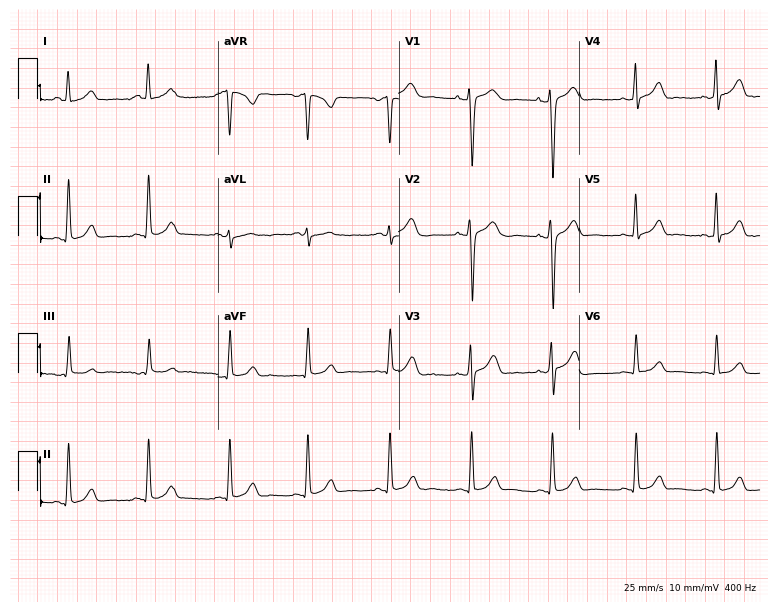
Standard 12-lead ECG recorded from a female, 34 years old (7.4-second recording at 400 Hz). Read as a normal ECG.